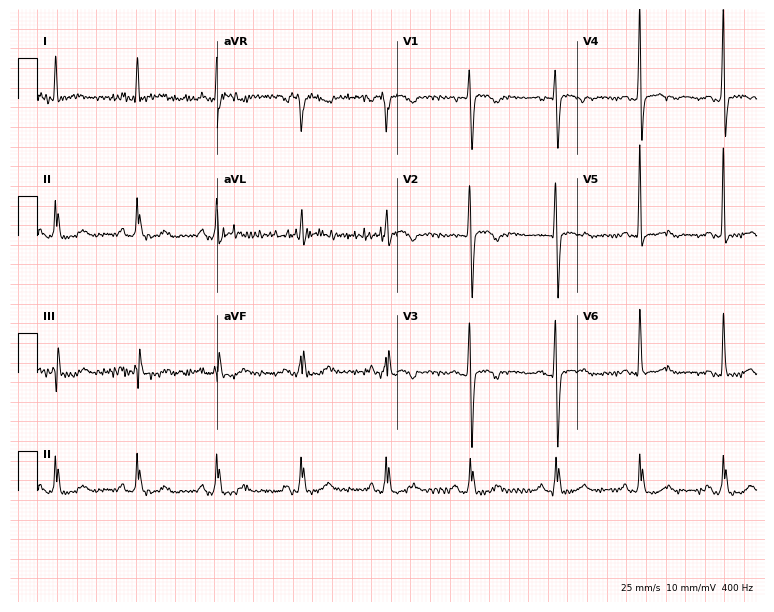
12-lead ECG from a woman, 84 years old. No first-degree AV block, right bundle branch block (RBBB), left bundle branch block (LBBB), sinus bradycardia, atrial fibrillation (AF) or sinus tachycardia recorded for this tracing.